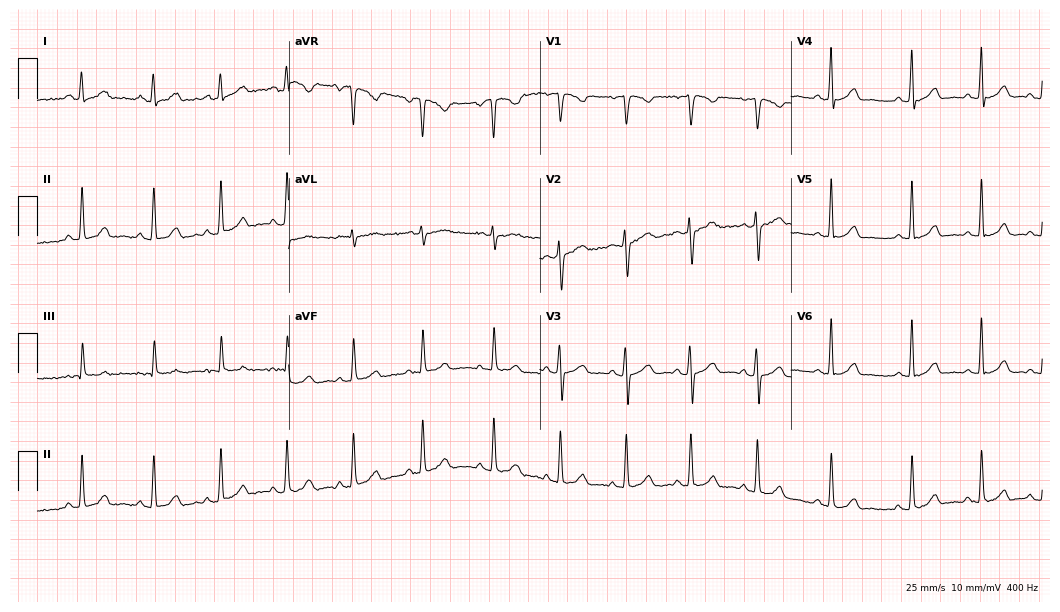
12-lead ECG (10.2-second recording at 400 Hz) from a 21-year-old woman. Labelled as a normal ECG.